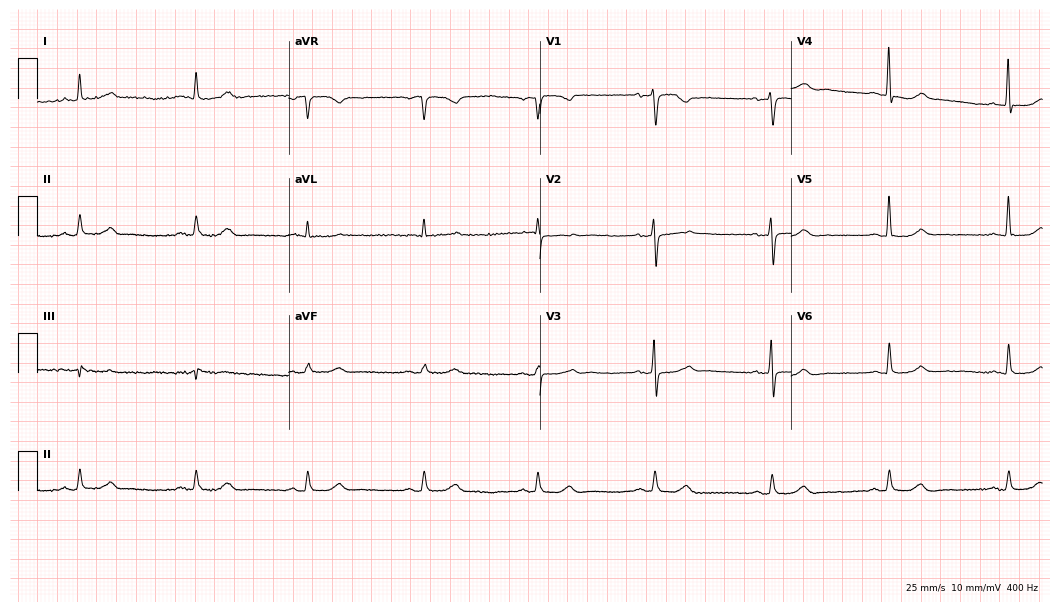
Electrocardiogram (10.2-second recording at 400 Hz), a female patient, 75 years old. Overall reading on record: normal ECG.